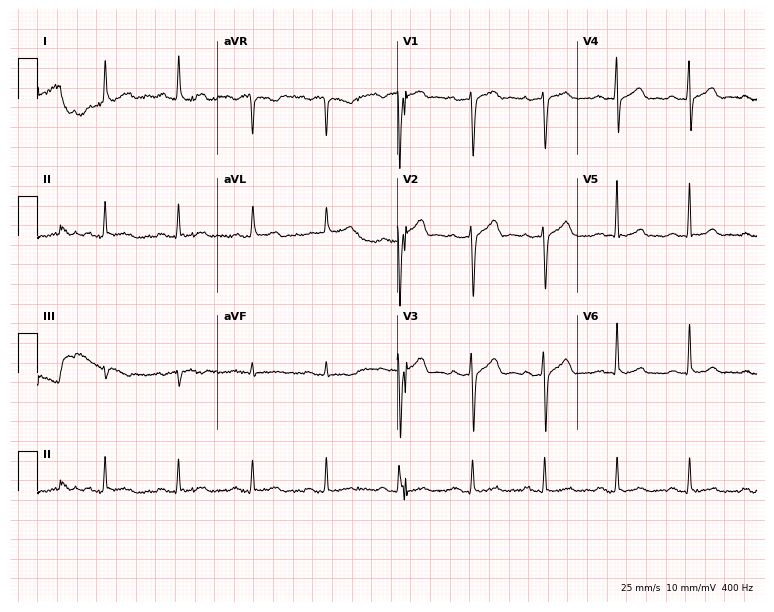
Standard 12-lead ECG recorded from a 44-year-old male patient (7.3-second recording at 400 Hz). Read as a normal ECG.